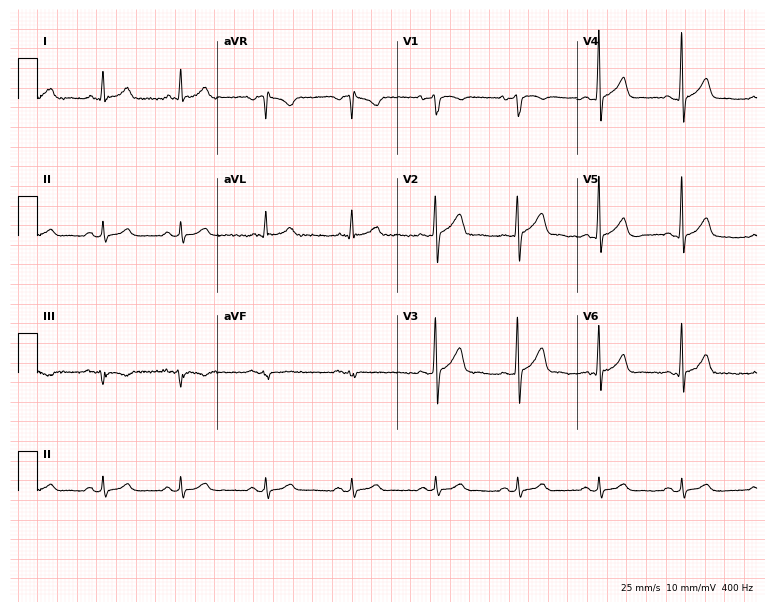
Resting 12-lead electrocardiogram. Patient: a 58-year-old male. None of these six findings is recorded: first-degree AV block, right bundle branch block, left bundle branch block, sinus bradycardia, atrial fibrillation, sinus tachycardia. Other findings, if any, are not listed.